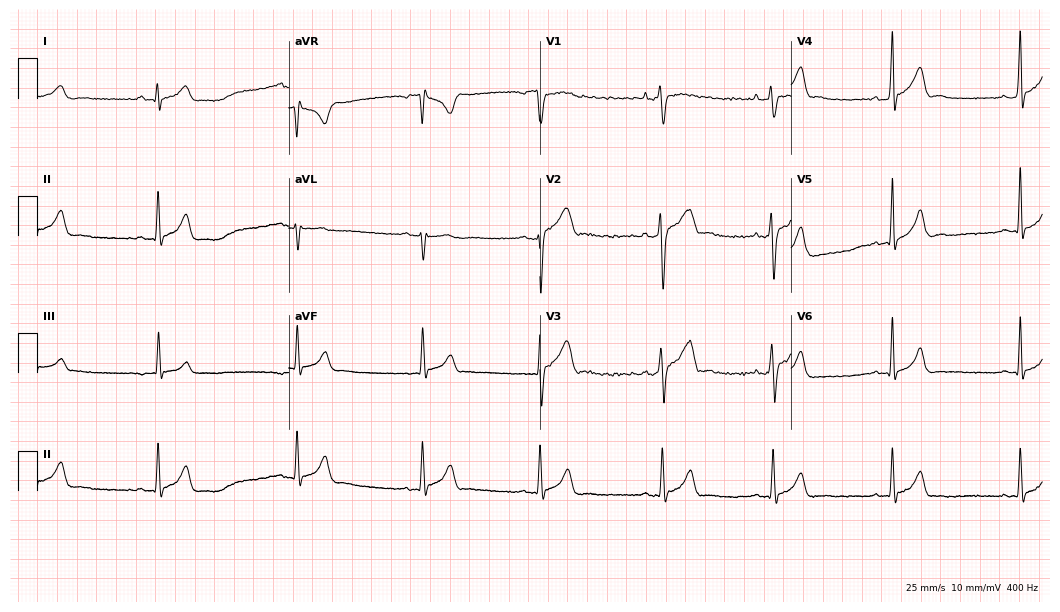
Standard 12-lead ECG recorded from a male, 20 years old. Read as a normal ECG.